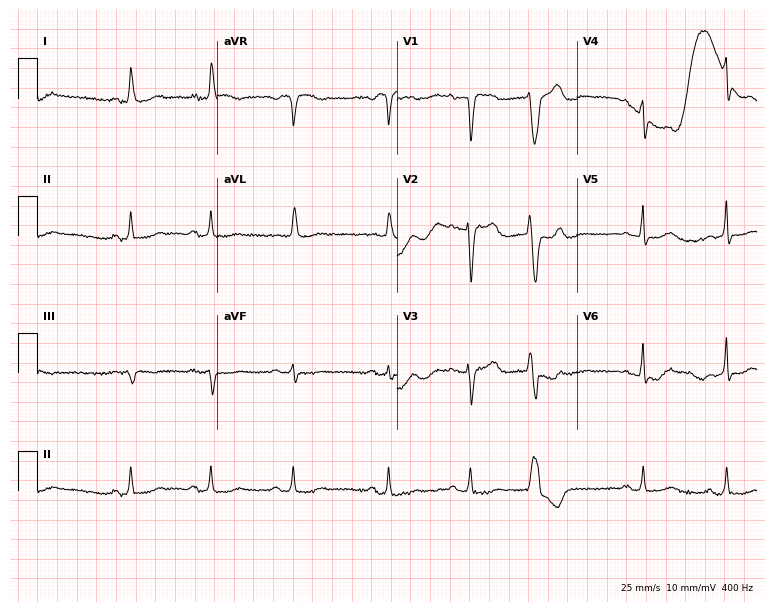
Standard 12-lead ECG recorded from a 71-year-old male patient (7.3-second recording at 400 Hz). None of these six findings is recorded: first-degree AV block, right bundle branch block (RBBB), left bundle branch block (LBBB), sinus bradycardia, atrial fibrillation (AF), sinus tachycardia.